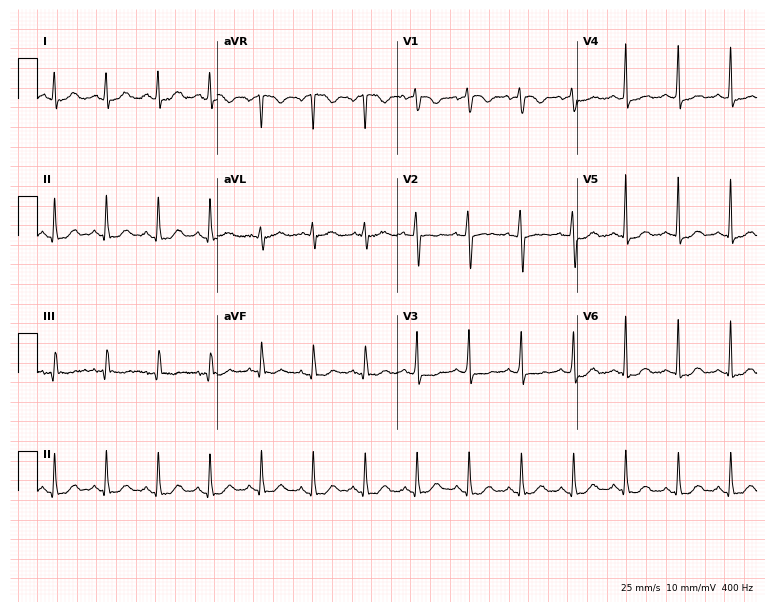
12-lead ECG from a 47-year-old female patient. Findings include sinus tachycardia (a sinus rate of 100 beats per minute or more).